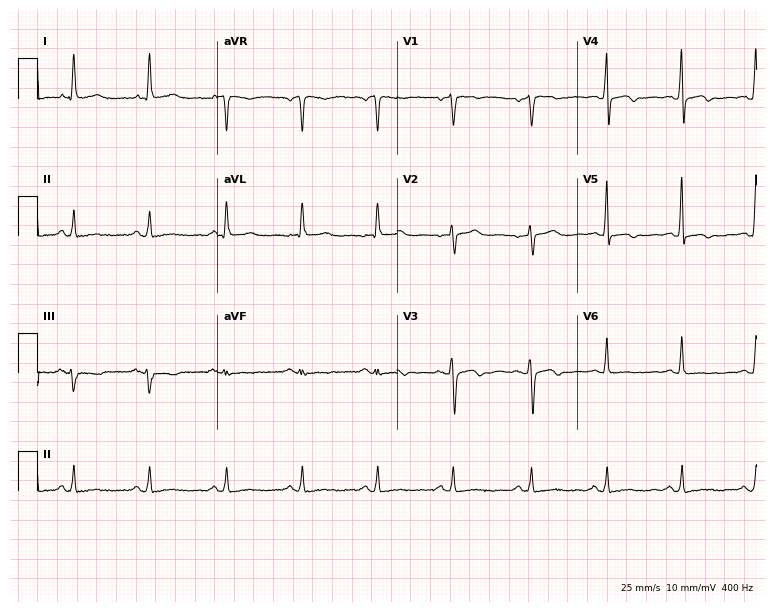
ECG — a female, 63 years old. Screened for six findings — first-degree AV block, right bundle branch block, left bundle branch block, sinus bradycardia, atrial fibrillation, sinus tachycardia — none is recorded. Other findings, if any, are not listed.